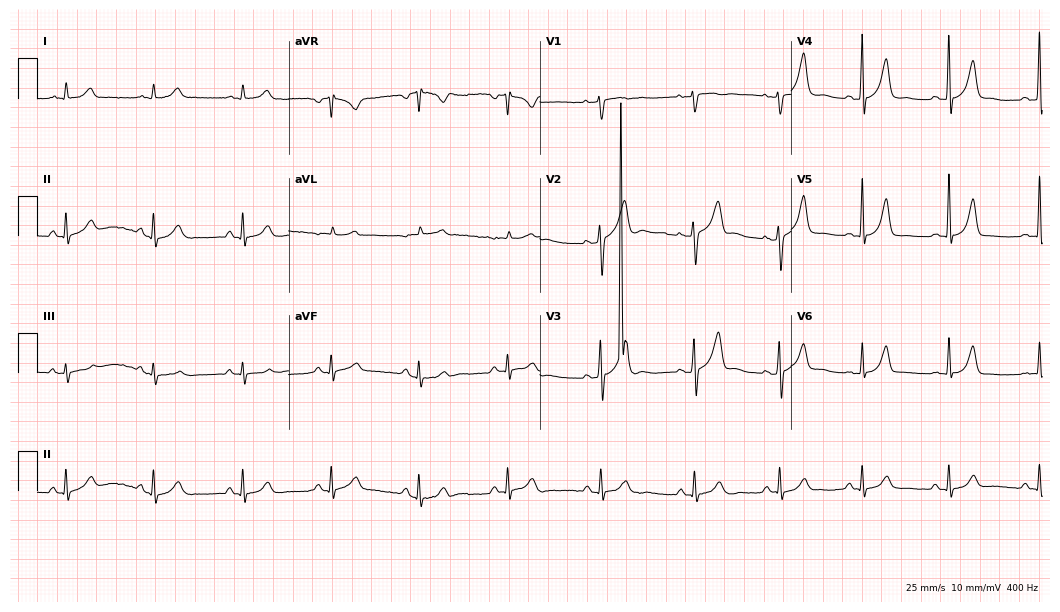
ECG (10.2-second recording at 400 Hz) — a 65-year-old man. Screened for six findings — first-degree AV block, right bundle branch block, left bundle branch block, sinus bradycardia, atrial fibrillation, sinus tachycardia — none is recorded.